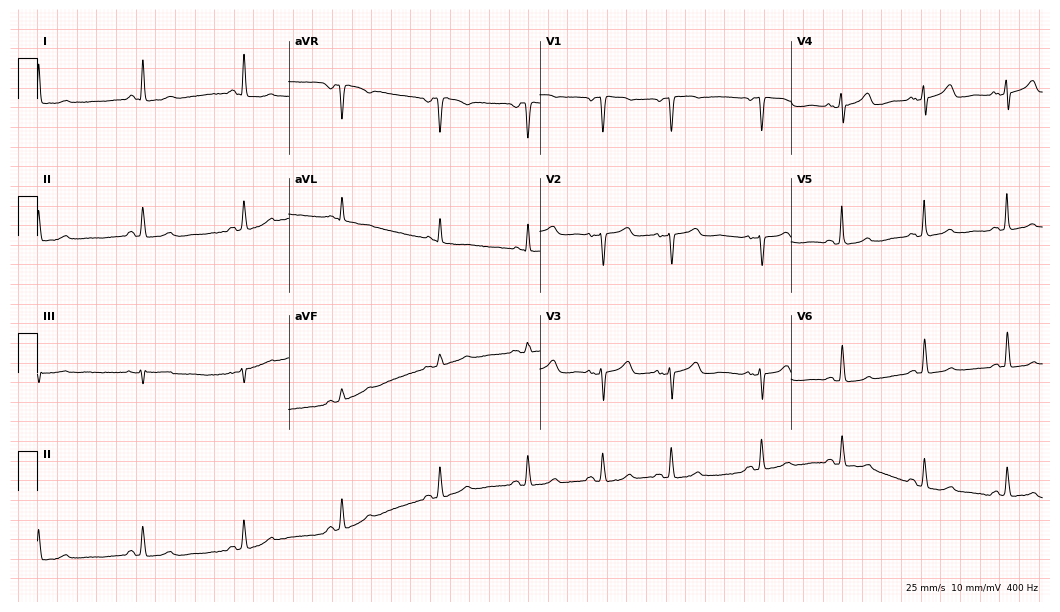
12-lead ECG from a woman, 69 years old (10.2-second recording at 400 Hz). Recorded interpretation: within normal limits.